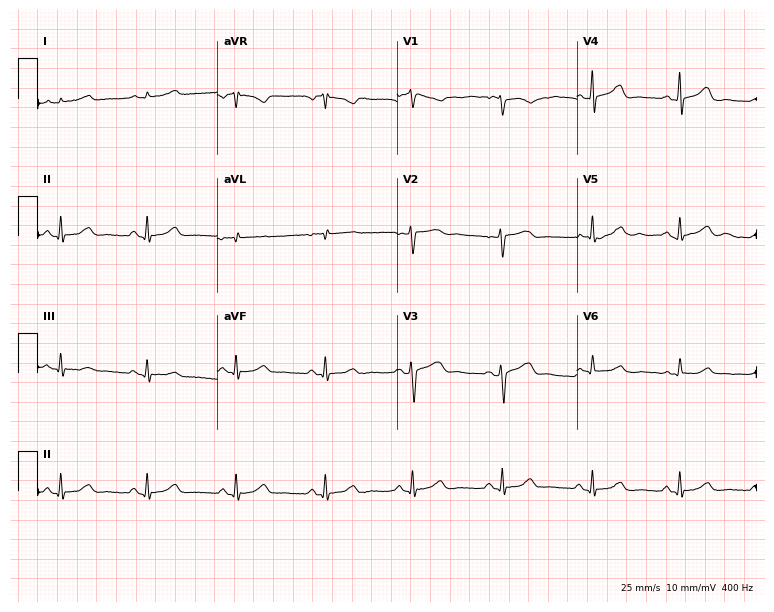
Electrocardiogram (7.3-second recording at 400 Hz), a 53-year-old female patient. Of the six screened findings (first-degree AV block, right bundle branch block (RBBB), left bundle branch block (LBBB), sinus bradycardia, atrial fibrillation (AF), sinus tachycardia), none is recorded. Findings outside these six are not listed.